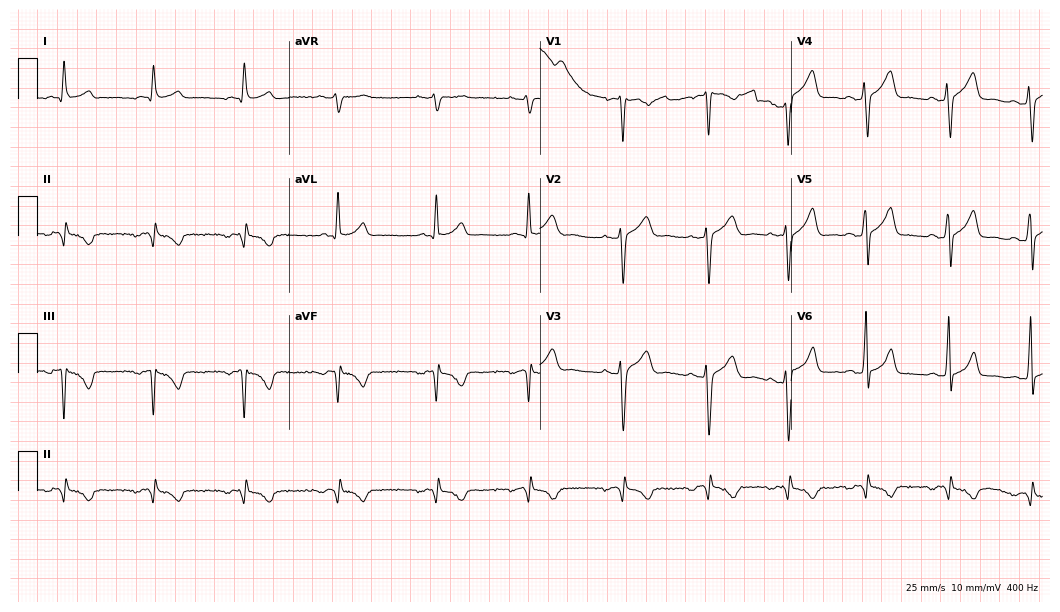
ECG — a male patient, 44 years old. Screened for six findings — first-degree AV block, right bundle branch block (RBBB), left bundle branch block (LBBB), sinus bradycardia, atrial fibrillation (AF), sinus tachycardia — none is recorded.